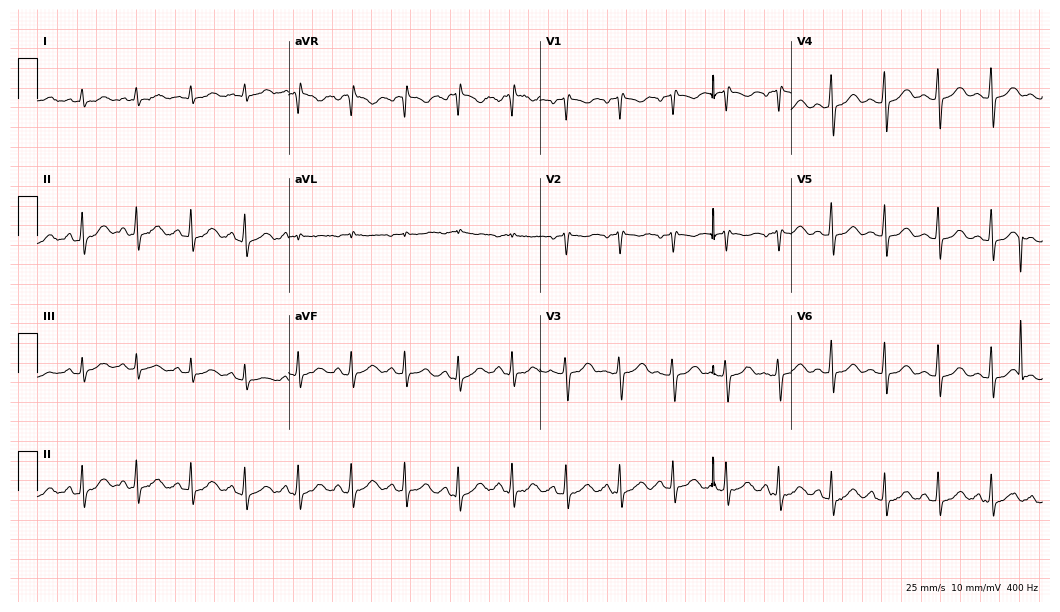
Resting 12-lead electrocardiogram. Patient: a 42-year-old female. The tracing shows sinus tachycardia (a sinus rate of 100 beats per minute or more).